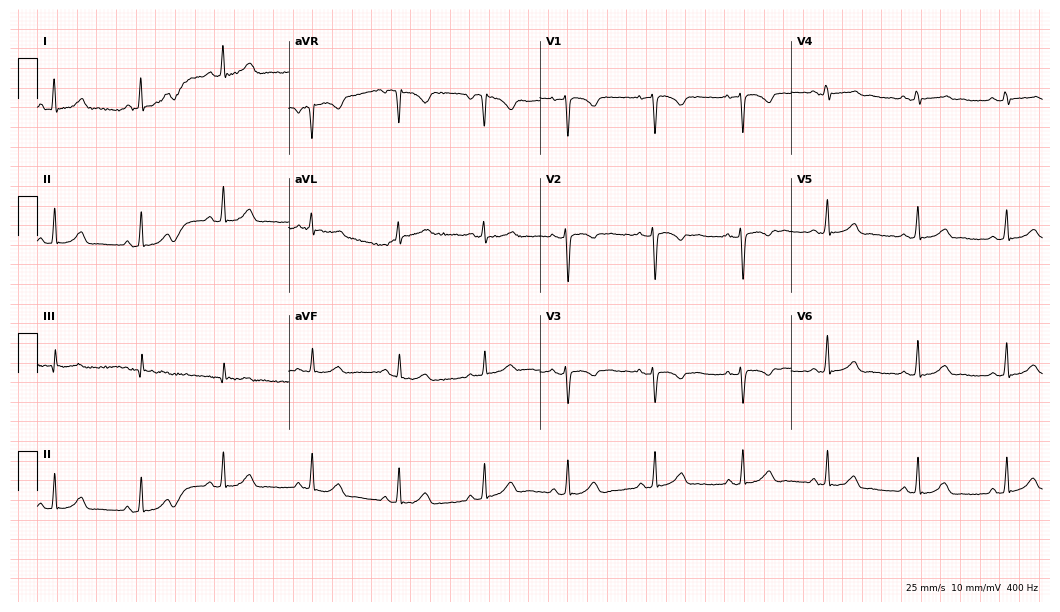
Standard 12-lead ECG recorded from a 31-year-old female. Read as a normal ECG.